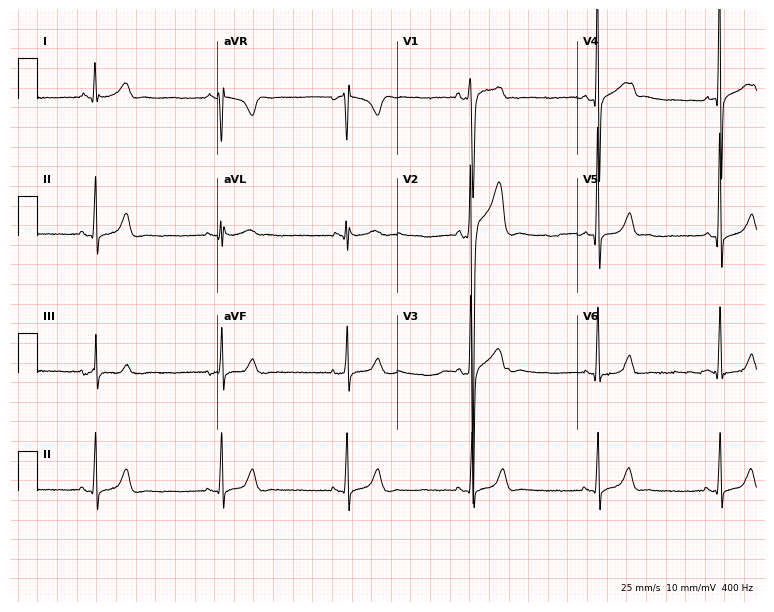
12-lead ECG from a male patient, 23 years old. Findings include sinus bradycardia (a sinus rate of 50 beats per minute or less).